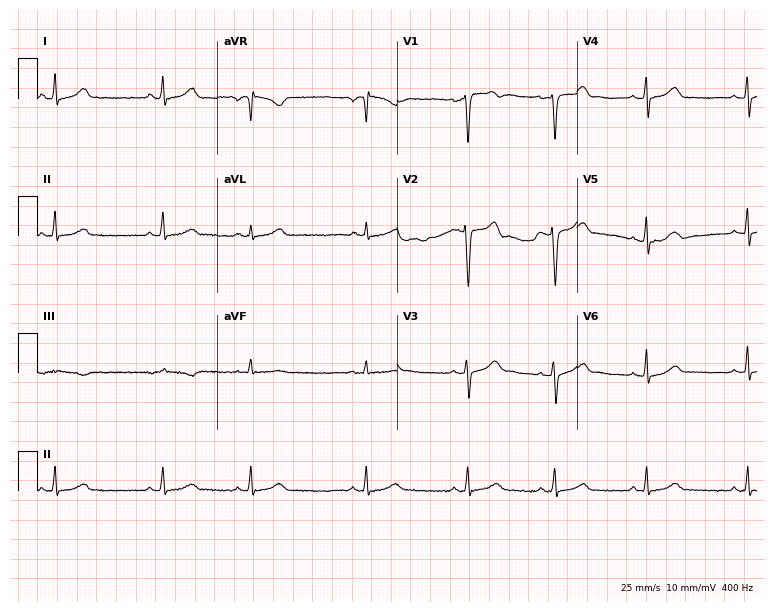
ECG — a 21-year-old female. Labelled as a normal ECG.